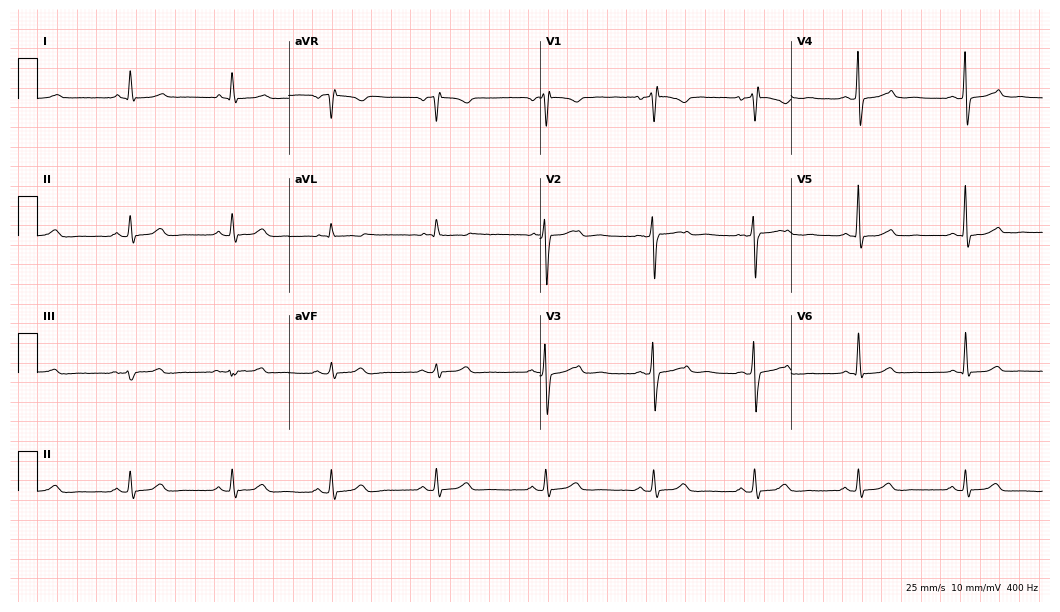
ECG (10.2-second recording at 400 Hz) — a 63-year-old woman. Screened for six findings — first-degree AV block, right bundle branch block, left bundle branch block, sinus bradycardia, atrial fibrillation, sinus tachycardia — none is recorded.